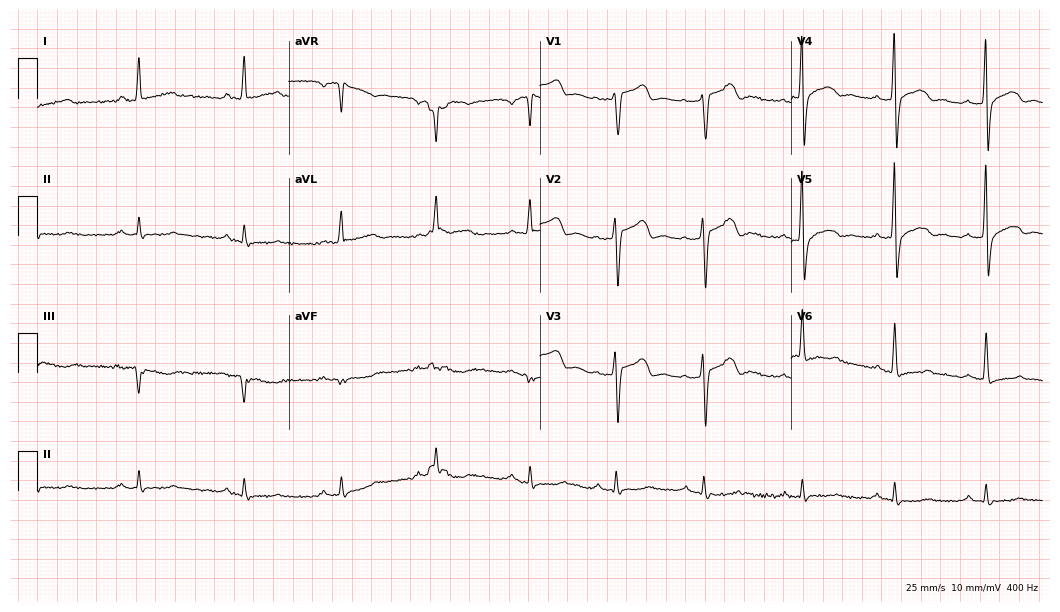
12-lead ECG from a male, 54 years old. Screened for six findings — first-degree AV block, right bundle branch block, left bundle branch block, sinus bradycardia, atrial fibrillation, sinus tachycardia — none is recorded.